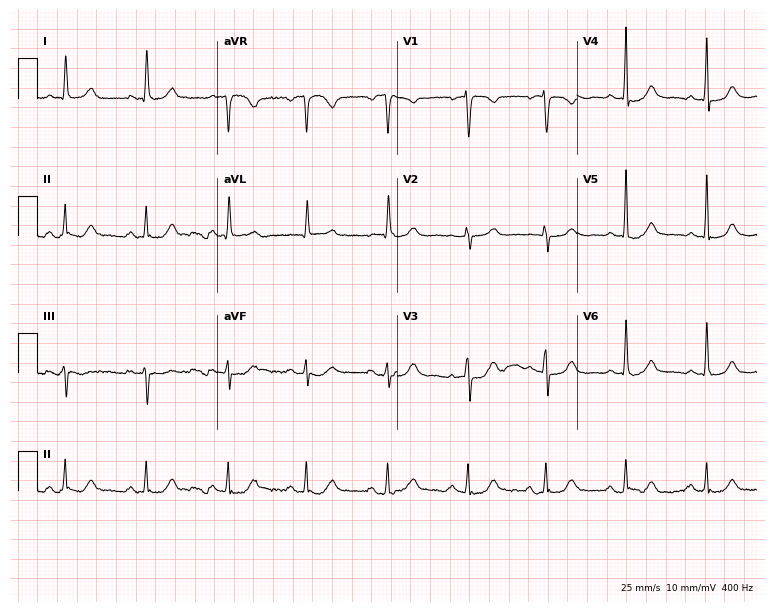
Standard 12-lead ECG recorded from a woman, 81 years old (7.3-second recording at 400 Hz). Read as a normal ECG.